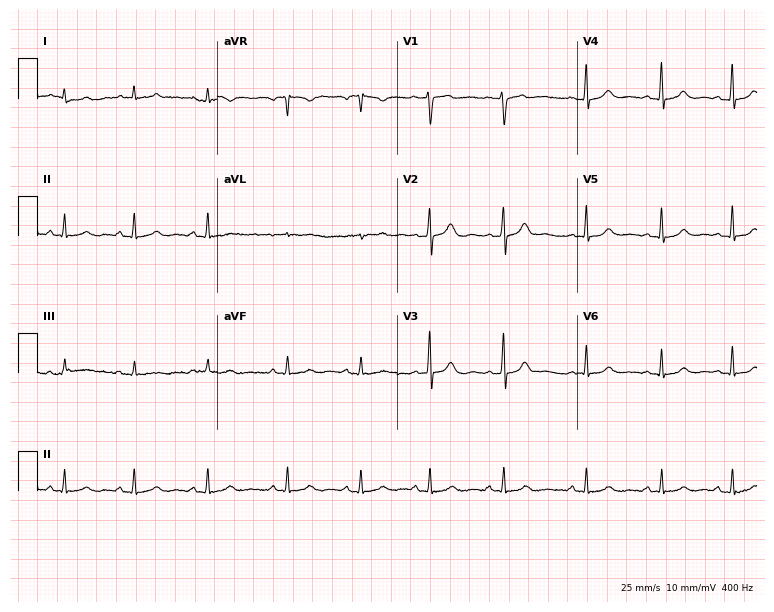
12-lead ECG (7.3-second recording at 400 Hz) from a 26-year-old woman. Screened for six findings — first-degree AV block, right bundle branch block (RBBB), left bundle branch block (LBBB), sinus bradycardia, atrial fibrillation (AF), sinus tachycardia — none is recorded. Other findings, if any, are not listed.